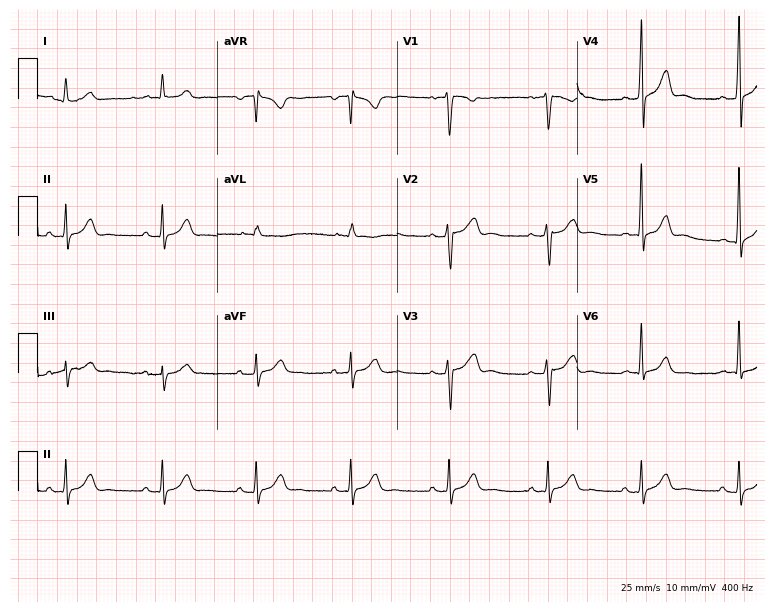
12-lead ECG from a male, 38 years old (7.3-second recording at 400 Hz). Recorded interpretation: within normal limits.